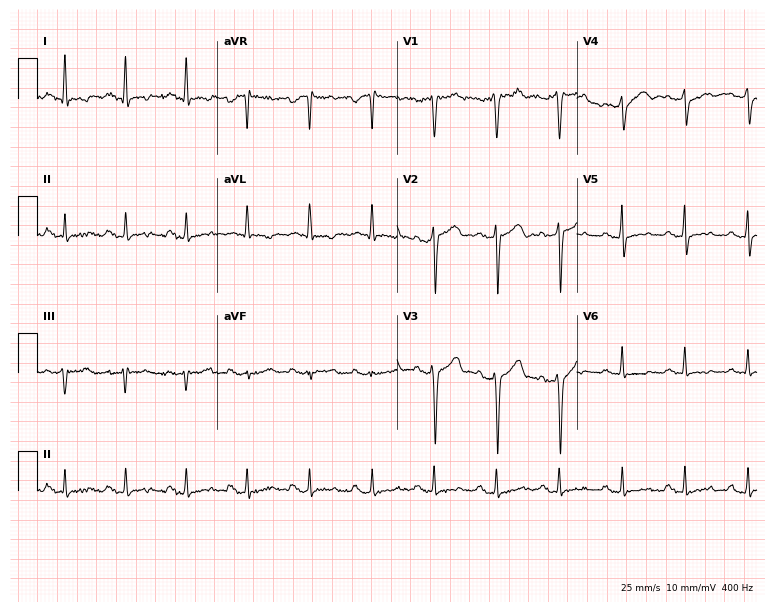
Standard 12-lead ECG recorded from a 44-year-old man (7.3-second recording at 400 Hz). Read as a normal ECG.